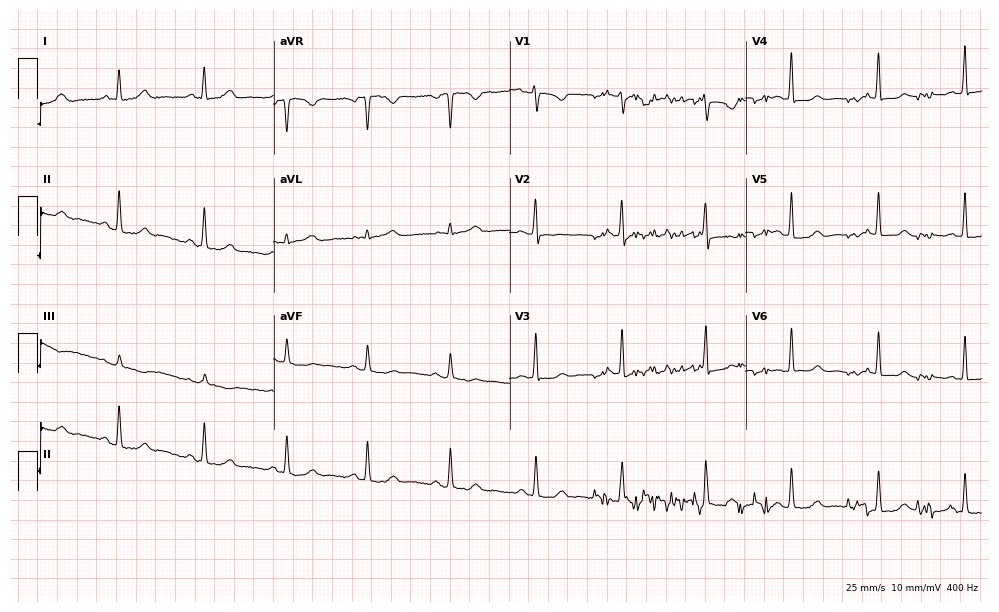
12-lead ECG (9.6-second recording at 400 Hz) from a 49-year-old female. Labelled as a normal ECG.